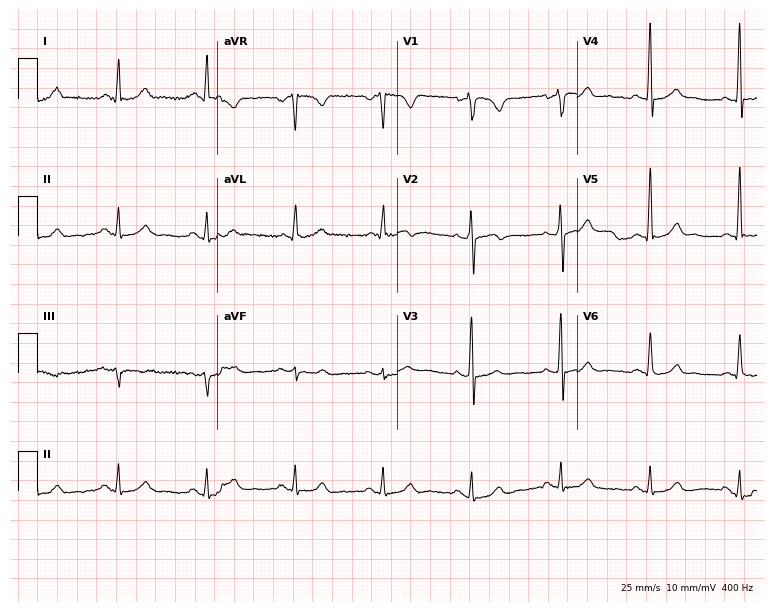
ECG — a male, 65 years old. Labelled as a normal ECG.